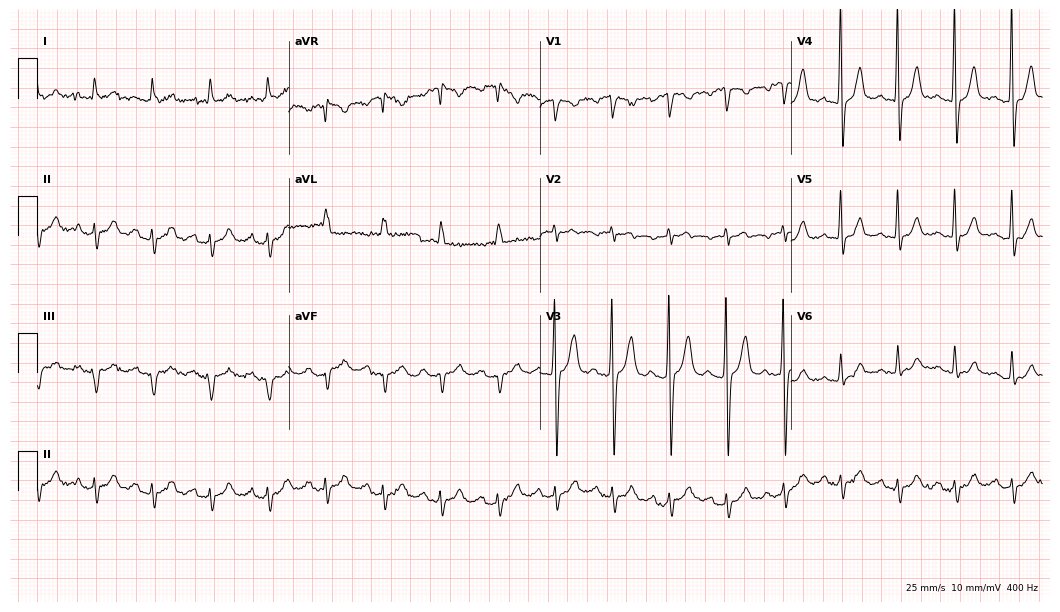
Standard 12-lead ECG recorded from a male patient, 68 years old (10.2-second recording at 400 Hz). The tracing shows sinus tachycardia (a sinus rate of 100 beats per minute or more).